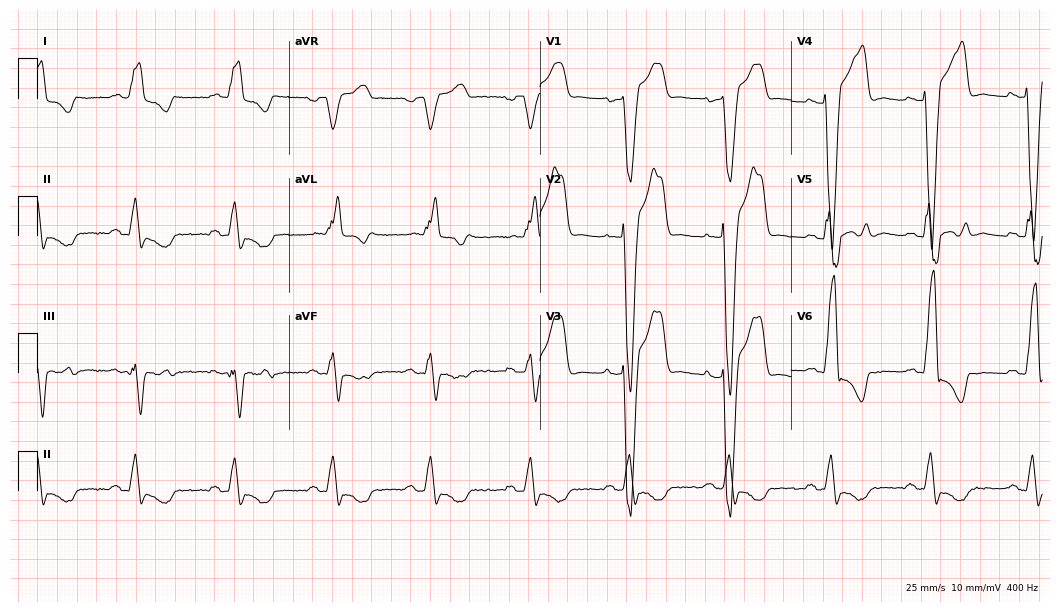
Resting 12-lead electrocardiogram. Patient: a male, 64 years old. None of these six findings is recorded: first-degree AV block, right bundle branch block, left bundle branch block, sinus bradycardia, atrial fibrillation, sinus tachycardia.